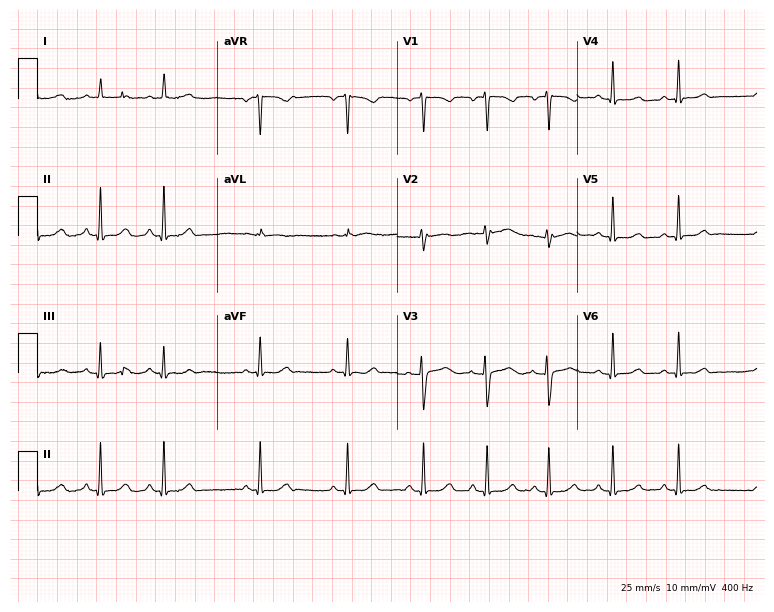
12-lead ECG (7.3-second recording at 400 Hz) from a 22-year-old female patient. Labelled as a normal ECG.